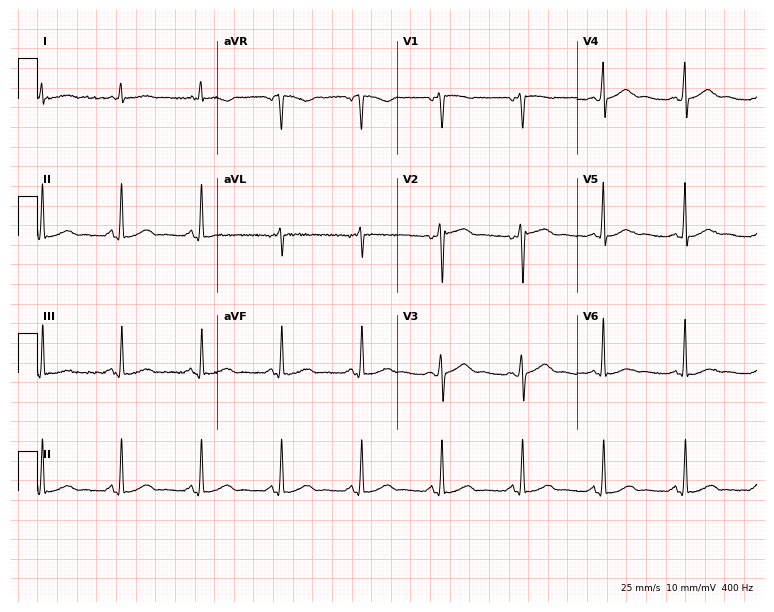
ECG (7.3-second recording at 400 Hz) — a 51-year-old female. Labelled as a normal ECG.